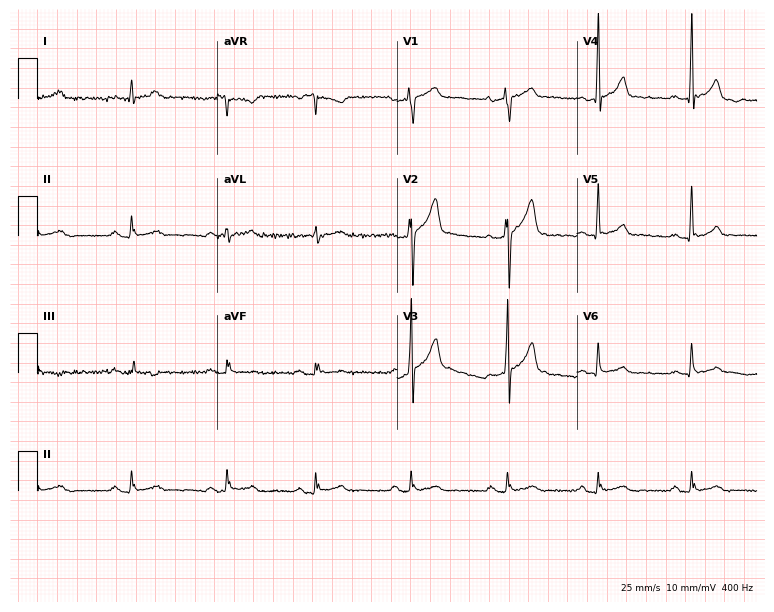
12-lead ECG (7.3-second recording at 400 Hz) from a male patient, 31 years old. Labelled as a normal ECG.